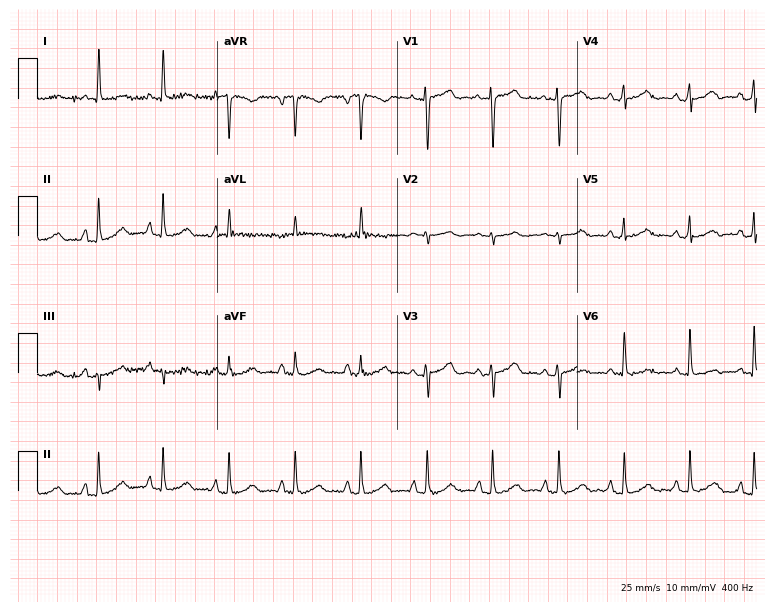
Standard 12-lead ECG recorded from a 57-year-old woman (7.3-second recording at 400 Hz). Read as a normal ECG.